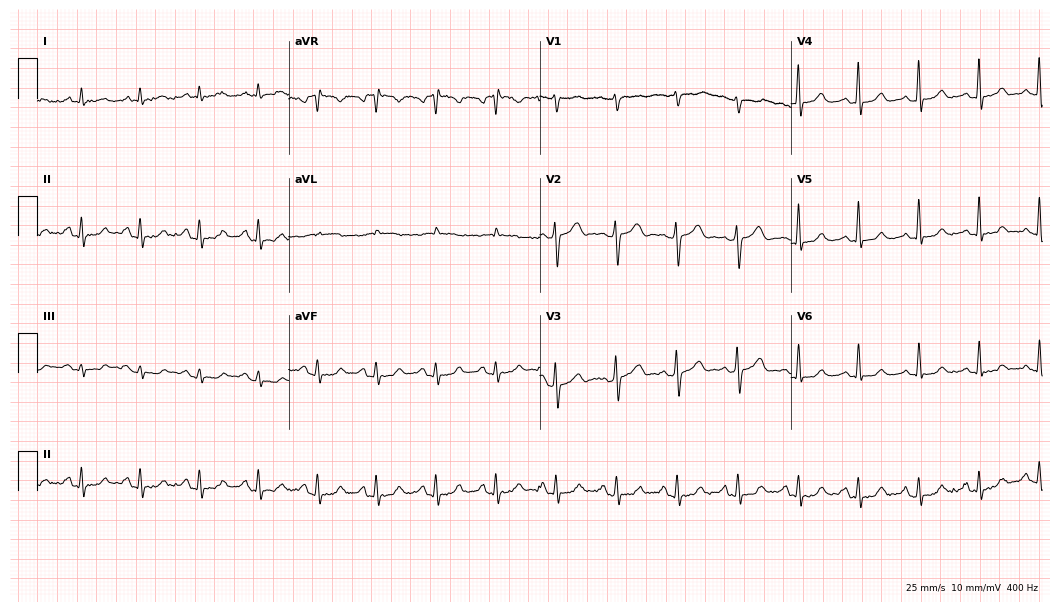
Resting 12-lead electrocardiogram. Patient: a 72-year-old male. None of these six findings is recorded: first-degree AV block, right bundle branch block, left bundle branch block, sinus bradycardia, atrial fibrillation, sinus tachycardia. Findings outside these six are not listed.